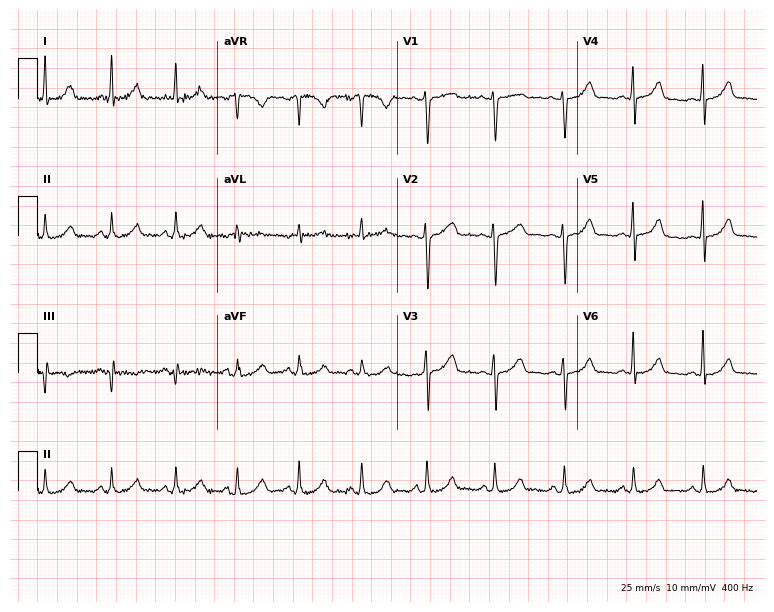
12-lead ECG from a 31-year-old female patient. Recorded interpretation: within normal limits.